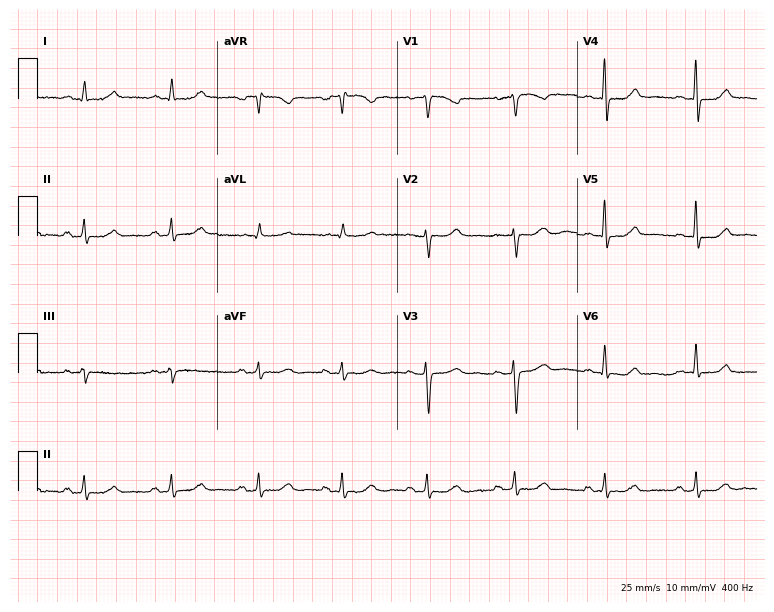
12-lead ECG from a female patient, 47 years old (7.3-second recording at 400 Hz). Recorded interpretation: within normal limits.